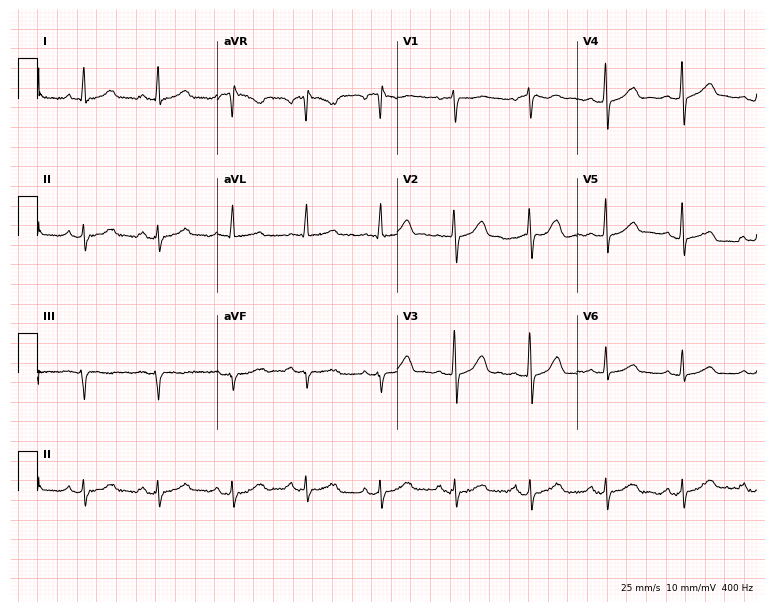
12-lead ECG from a female patient, 50 years old. Recorded interpretation: within normal limits.